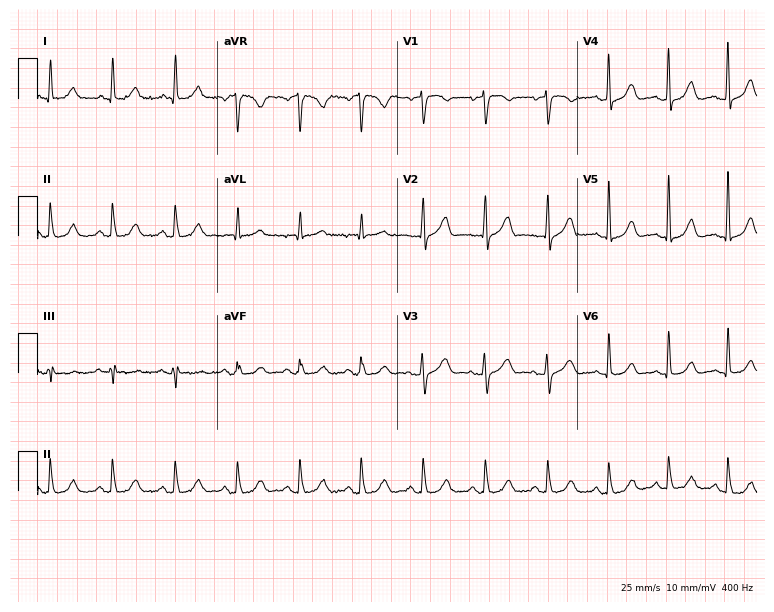
12-lead ECG from a 59-year-old woman. Labelled as a normal ECG.